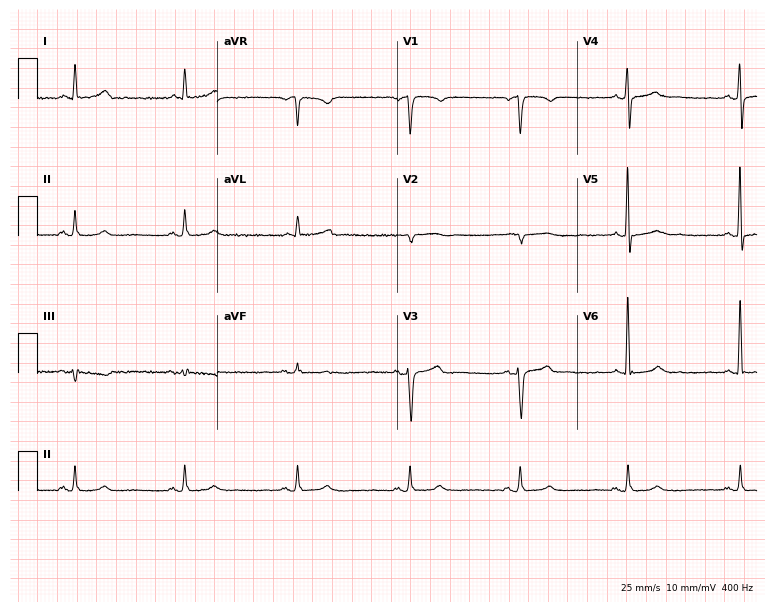
Standard 12-lead ECG recorded from a male, 60 years old (7.3-second recording at 400 Hz). None of these six findings is recorded: first-degree AV block, right bundle branch block, left bundle branch block, sinus bradycardia, atrial fibrillation, sinus tachycardia.